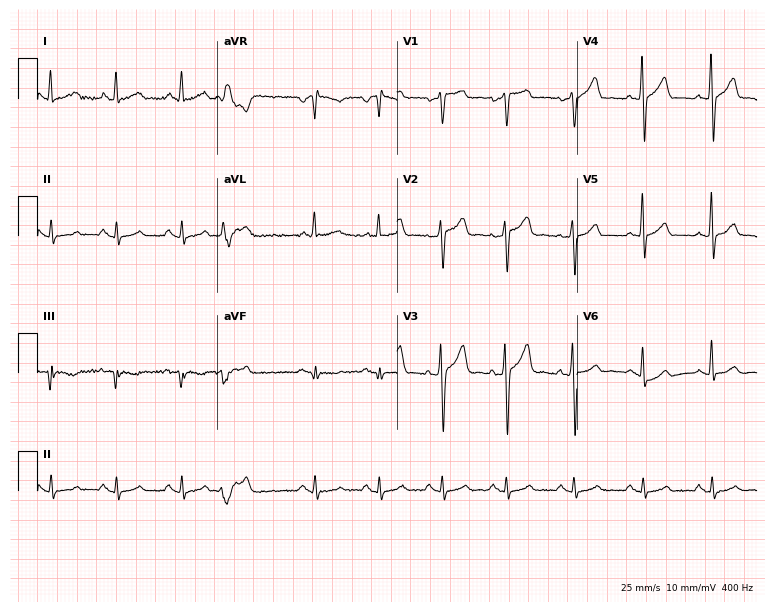
Electrocardiogram (7.3-second recording at 400 Hz), a male patient, 42 years old. Of the six screened findings (first-degree AV block, right bundle branch block, left bundle branch block, sinus bradycardia, atrial fibrillation, sinus tachycardia), none is recorded.